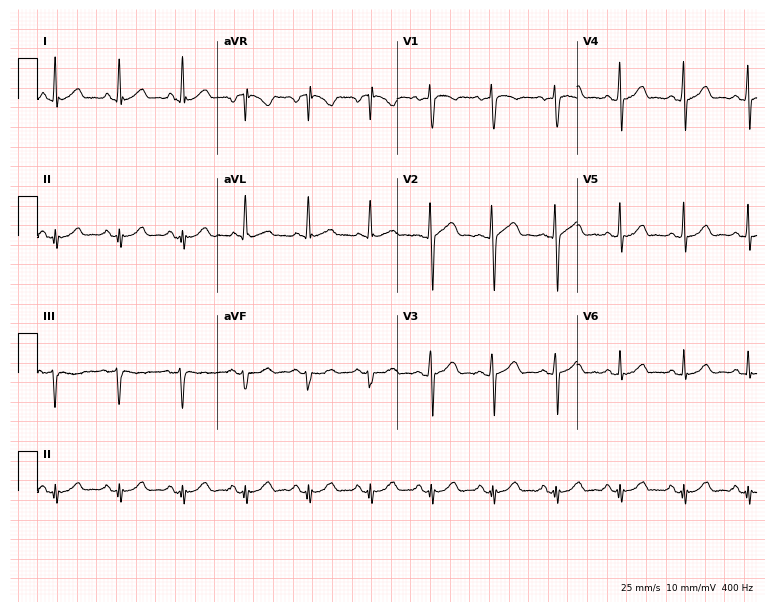
Resting 12-lead electrocardiogram (7.3-second recording at 400 Hz). Patient: a man, 35 years old. Read as a normal ECG.